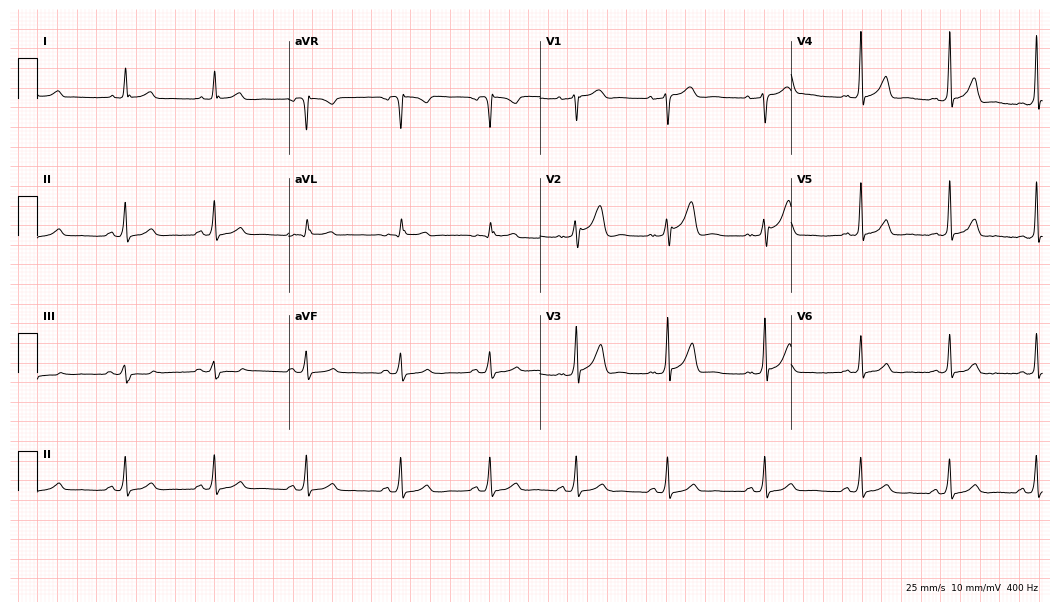
ECG — a 37-year-old man. Labelled as a normal ECG.